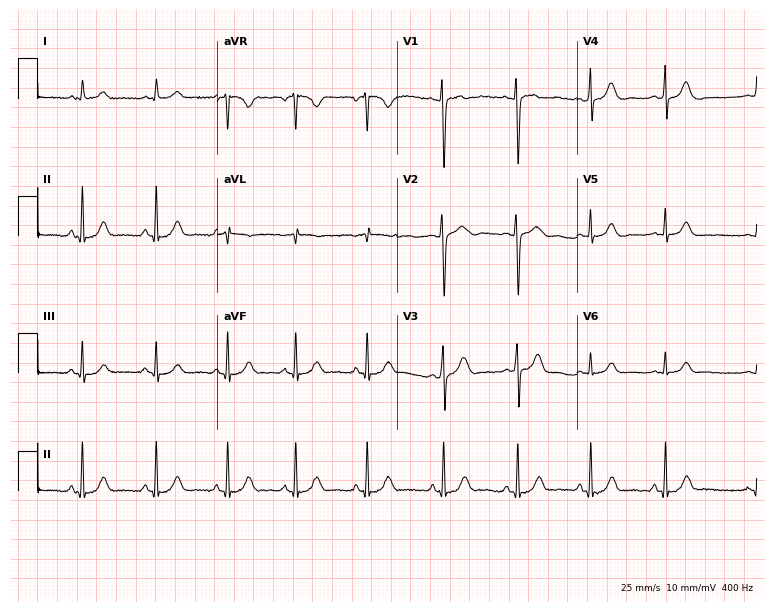
Electrocardiogram (7.3-second recording at 400 Hz), a female patient, 28 years old. Overall reading on record: normal ECG.